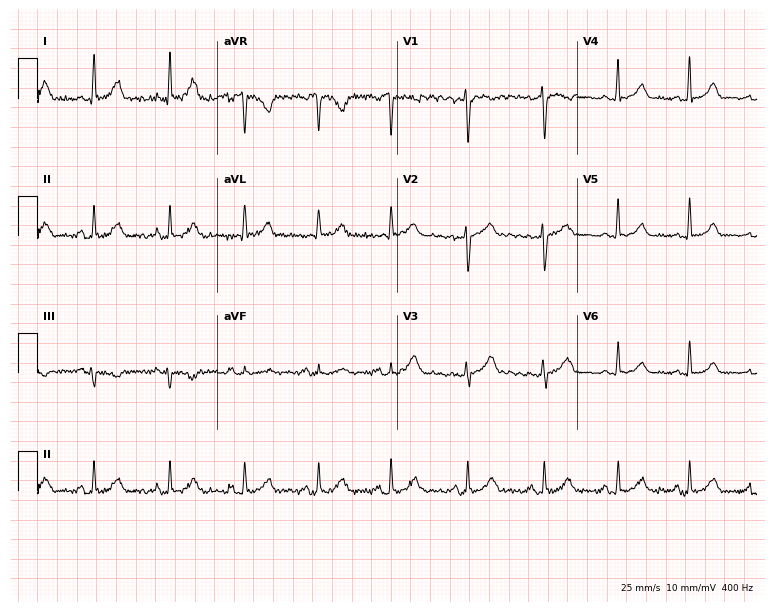
Standard 12-lead ECG recorded from a female patient, 34 years old. None of these six findings is recorded: first-degree AV block, right bundle branch block, left bundle branch block, sinus bradycardia, atrial fibrillation, sinus tachycardia. Only these six findings were labelled.